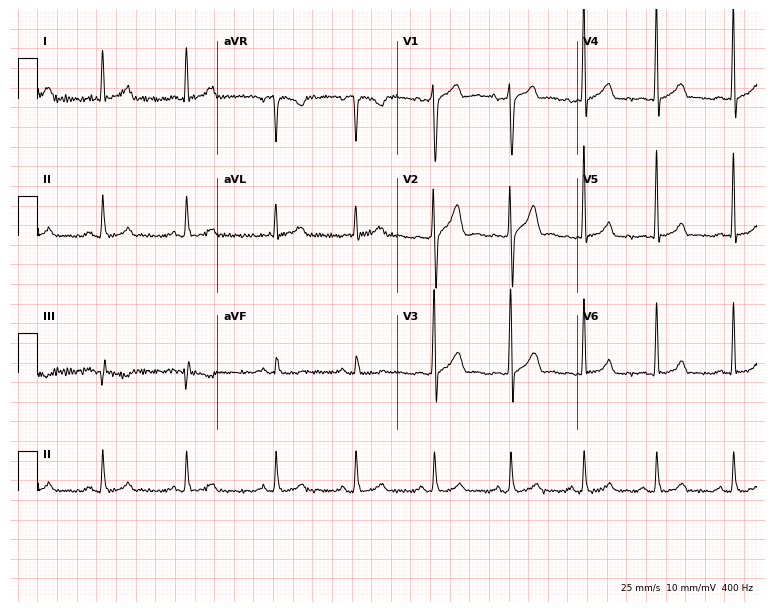
Standard 12-lead ECG recorded from a man, 23 years old. None of these six findings is recorded: first-degree AV block, right bundle branch block, left bundle branch block, sinus bradycardia, atrial fibrillation, sinus tachycardia.